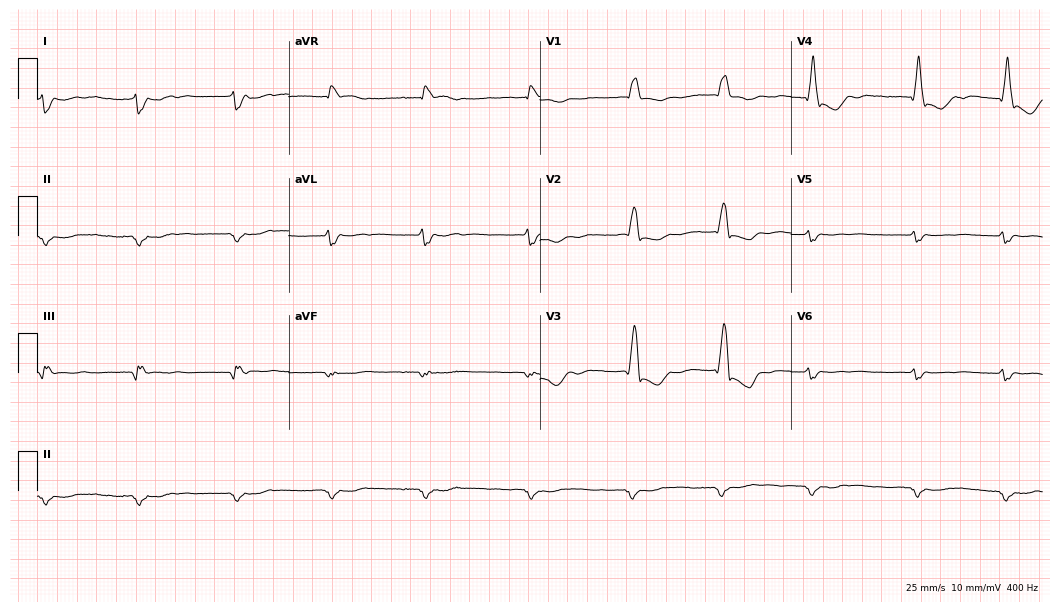
12-lead ECG (10.2-second recording at 400 Hz) from an 84-year-old male patient. Findings include right bundle branch block.